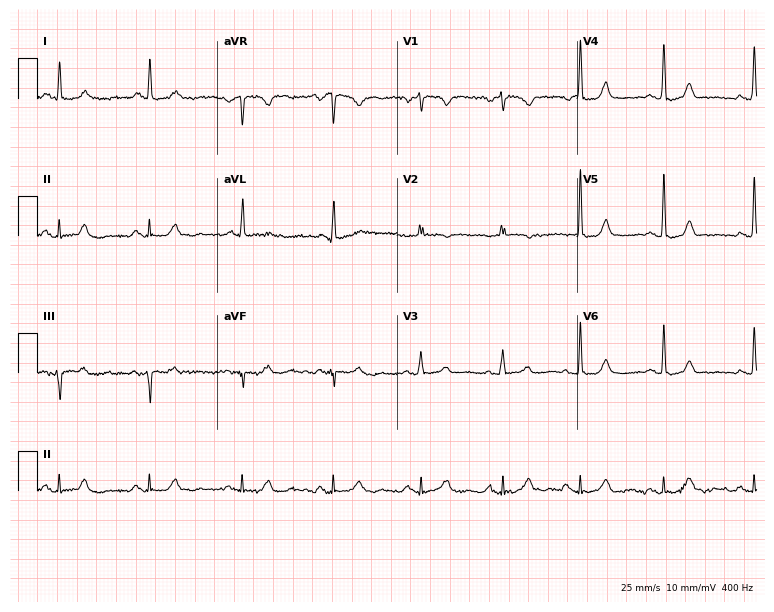
Electrocardiogram, a 61-year-old female patient. Overall reading on record: normal ECG.